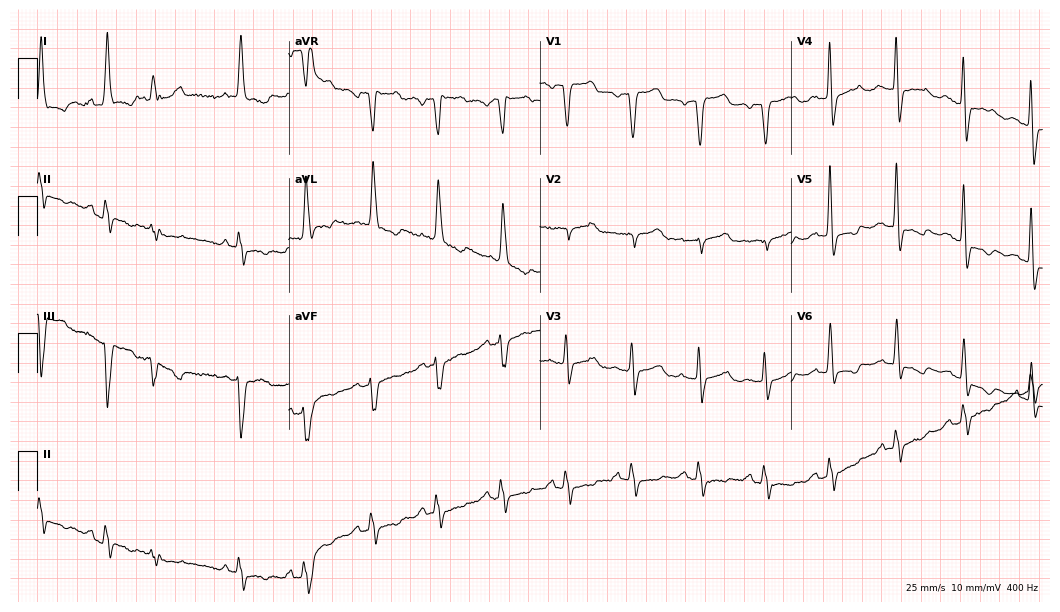
ECG — a female patient, 72 years old. Screened for six findings — first-degree AV block, right bundle branch block (RBBB), left bundle branch block (LBBB), sinus bradycardia, atrial fibrillation (AF), sinus tachycardia — none is recorded. Other findings, if any, are not listed.